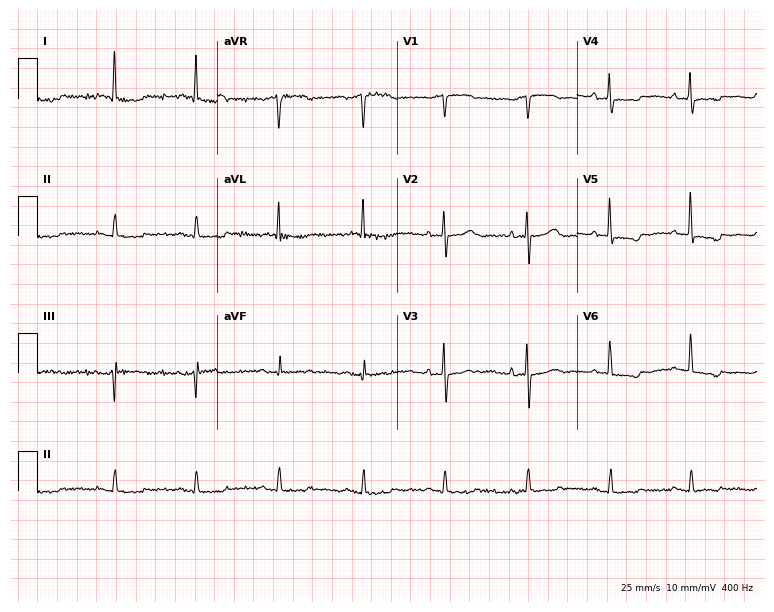
Standard 12-lead ECG recorded from a 78-year-old female. None of these six findings is recorded: first-degree AV block, right bundle branch block (RBBB), left bundle branch block (LBBB), sinus bradycardia, atrial fibrillation (AF), sinus tachycardia. Only these six findings were labelled.